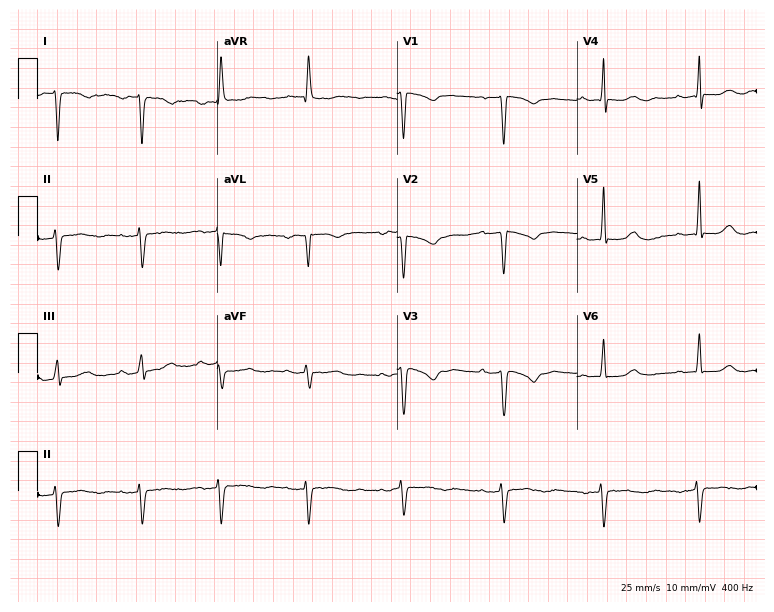
ECG (7.3-second recording at 400 Hz) — a woman, 55 years old. Screened for six findings — first-degree AV block, right bundle branch block, left bundle branch block, sinus bradycardia, atrial fibrillation, sinus tachycardia — none is recorded.